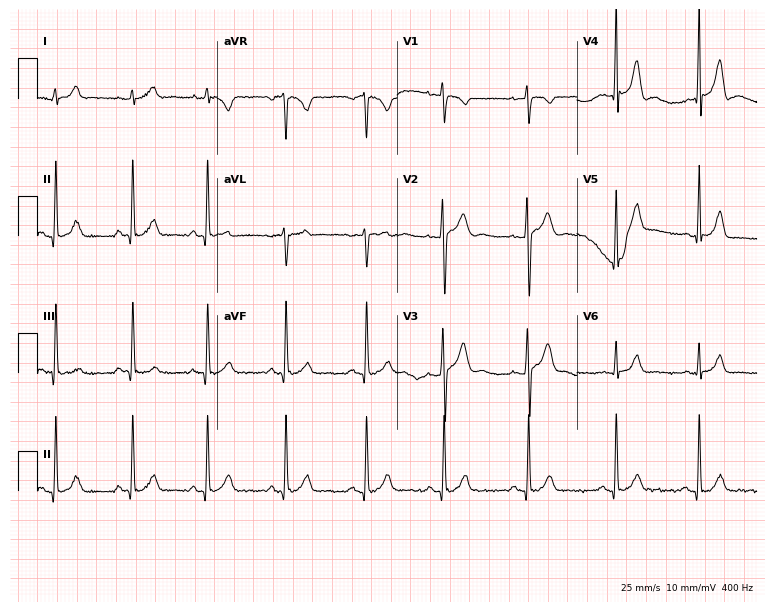
12-lead ECG from a male patient, 19 years old. No first-degree AV block, right bundle branch block, left bundle branch block, sinus bradycardia, atrial fibrillation or sinus tachycardia recorded for this tracing.